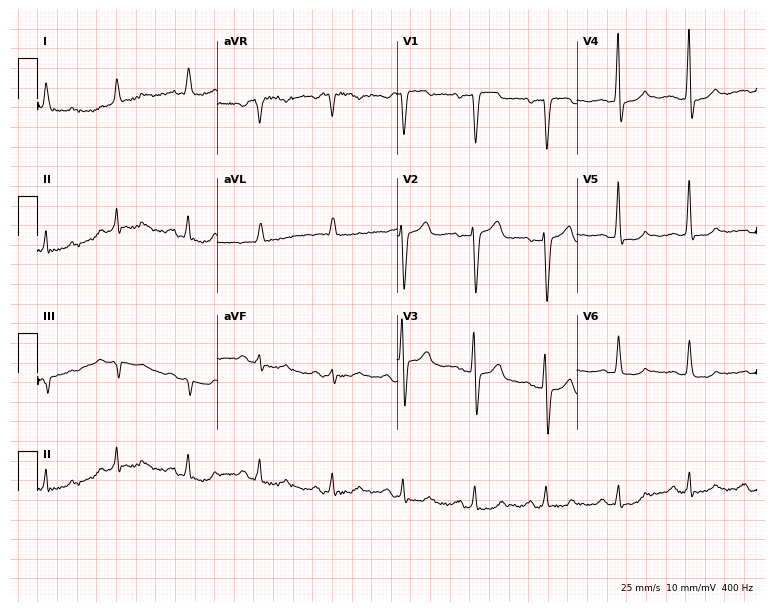
Electrocardiogram, a woman, 76 years old. Of the six screened findings (first-degree AV block, right bundle branch block (RBBB), left bundle branch block (LBBB), sinus bradycardia, atrial fibrillation (AF), sinus tachycardia), none is recorded.